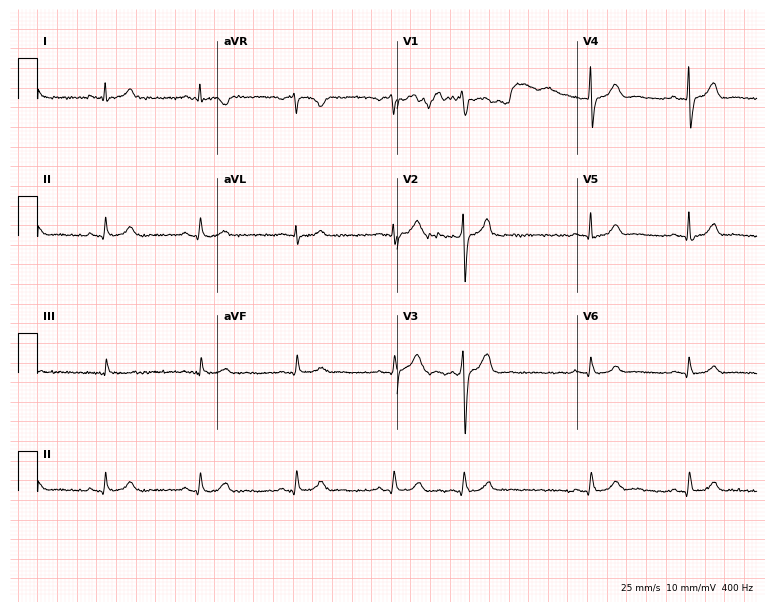
Electrocardiogram, a male patient, 63 years old. Of the six screened findings (first-degree AV block, right bundle branch block (RBBB), left bundle branch block (LBBB), sinus bradycardia, atrial fibrillation (AF), sinus tachycardia), none is recorded.